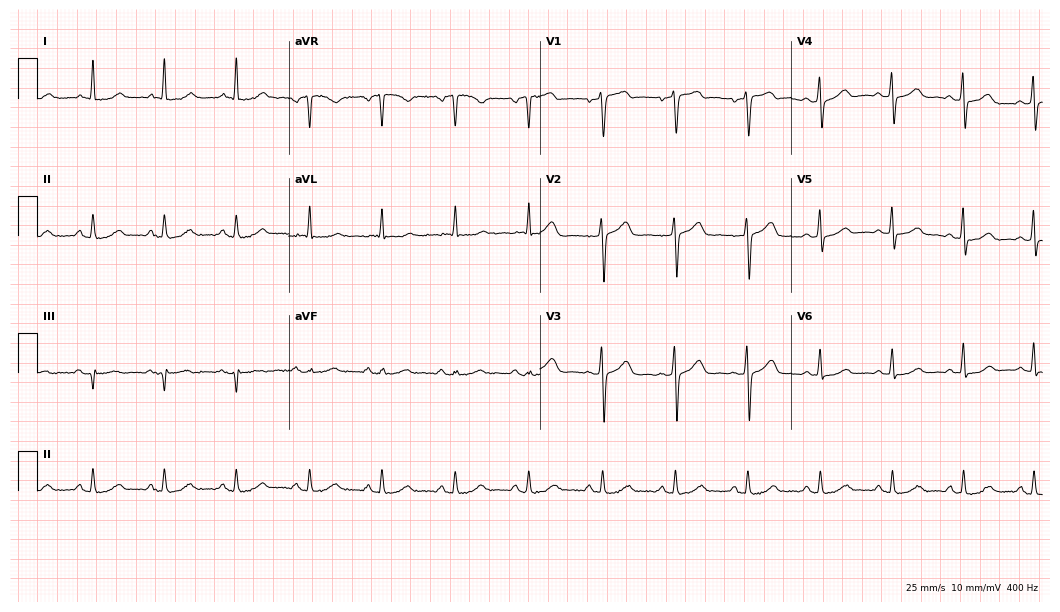
ECG (10.2-second recording at 400 Hz) — a 70-year-old female patient. Labelled as a normal ECG.